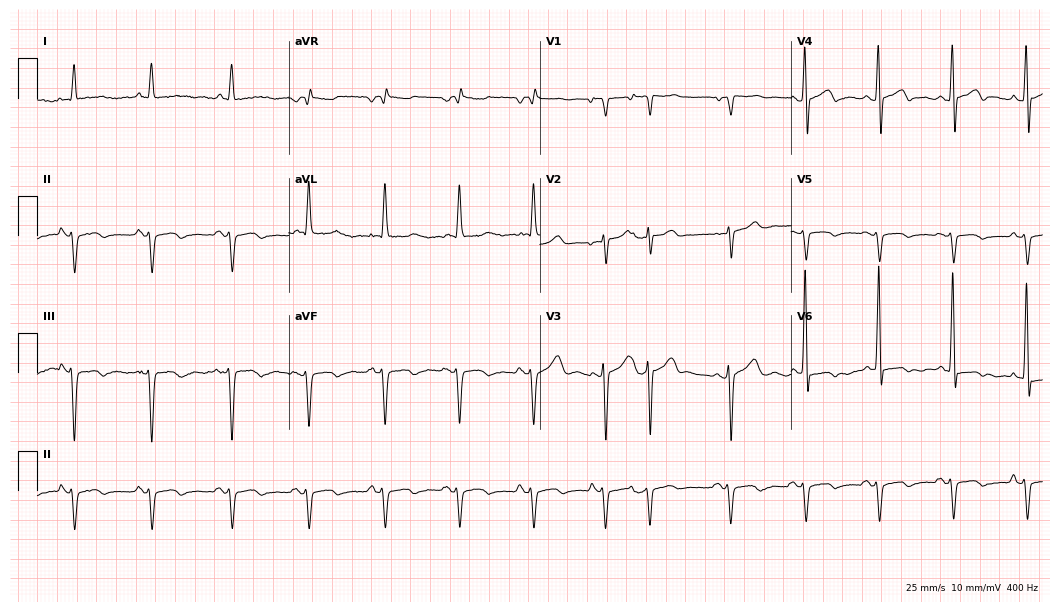
Resting 12-lead electrocardiogram (10.2-second recording at 400 Hz). Patient: a 79-year-old male. None of these six findings is recorded: first-degree AV block, right bundle branch block, left bundle branch block, sinus bradycardia, atrial fibrillation, sinus tachycardia.